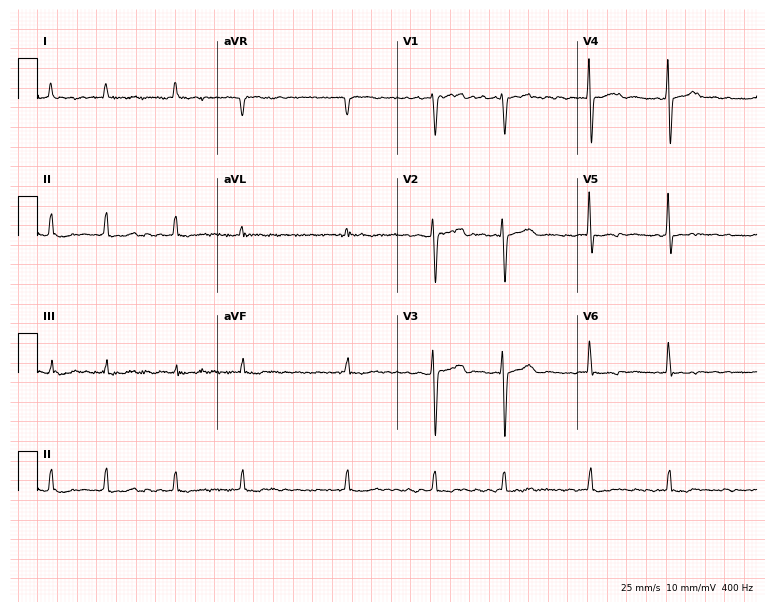
12-lead ECG (7.3-second recording at 400 Hz) from a female patient, 70 years old. Findings include atrial fibrillation.